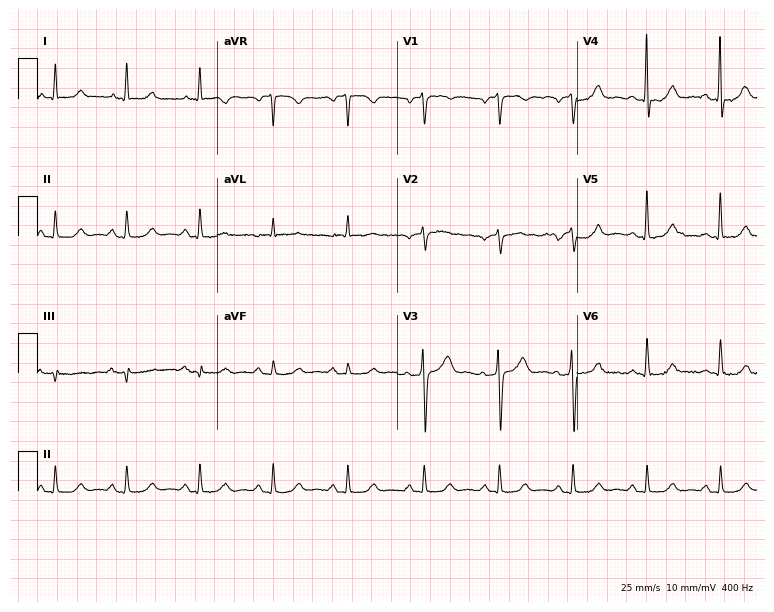
Resting 12-lead electrocardiogram. Patient: a 63-year-old male. Read as a normal ECG.